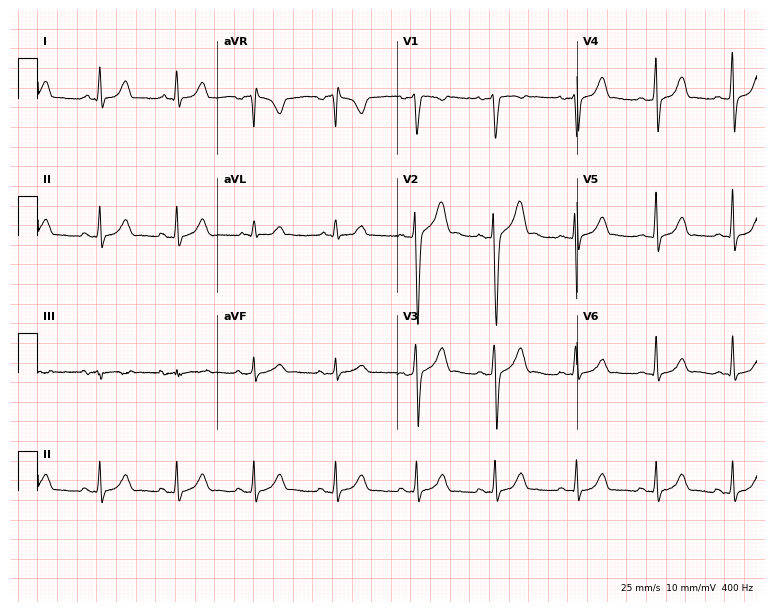
Electrocardiogram (7.3-second recording at 400 Hz), a male, 23 years old. Of the six screened findings (first-degree AV block, right bundle branch block, left bundle branch block, sinus bradycardia, atrial fibrillation, sinus tachycardia), none is recorded.